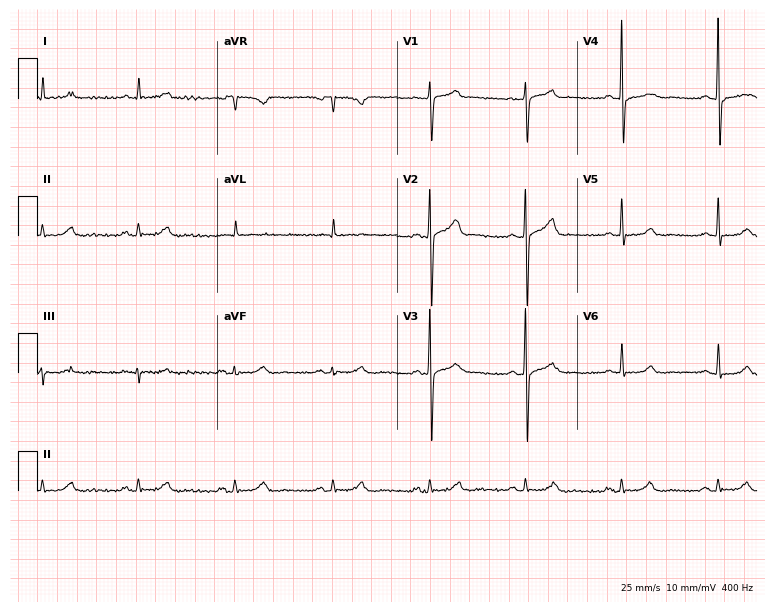
Resting 12-lead electrocardiogram. Patient: a 57-year-old man. Read as a normal ECG.